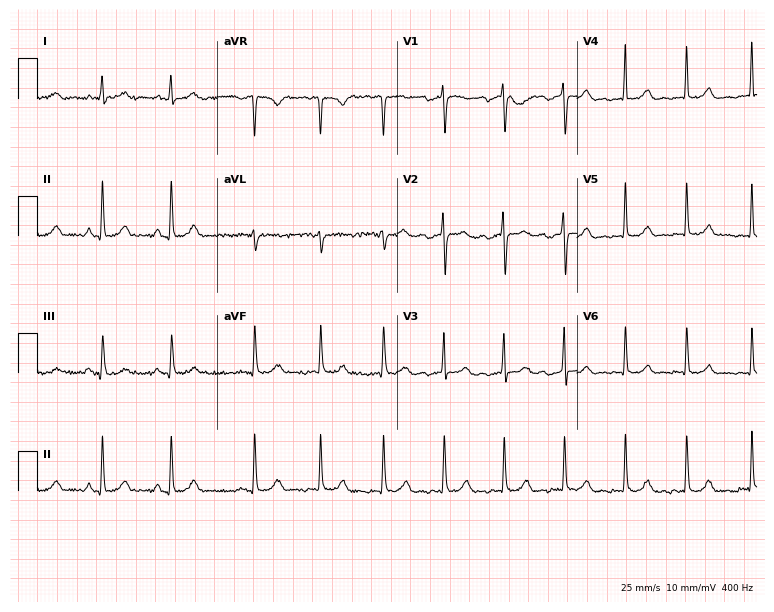
Resting 12-lead electrocardiogram (7.3-second recording at 400 Hz). Patient: a 20-year-old woman. None of these six findings is recorded: first-degree AV block, right bundle branch block, left bundle branch block, sinus bradycardia, atrial fibrillation, sinus tachycardia. Only these six findings were labelled.